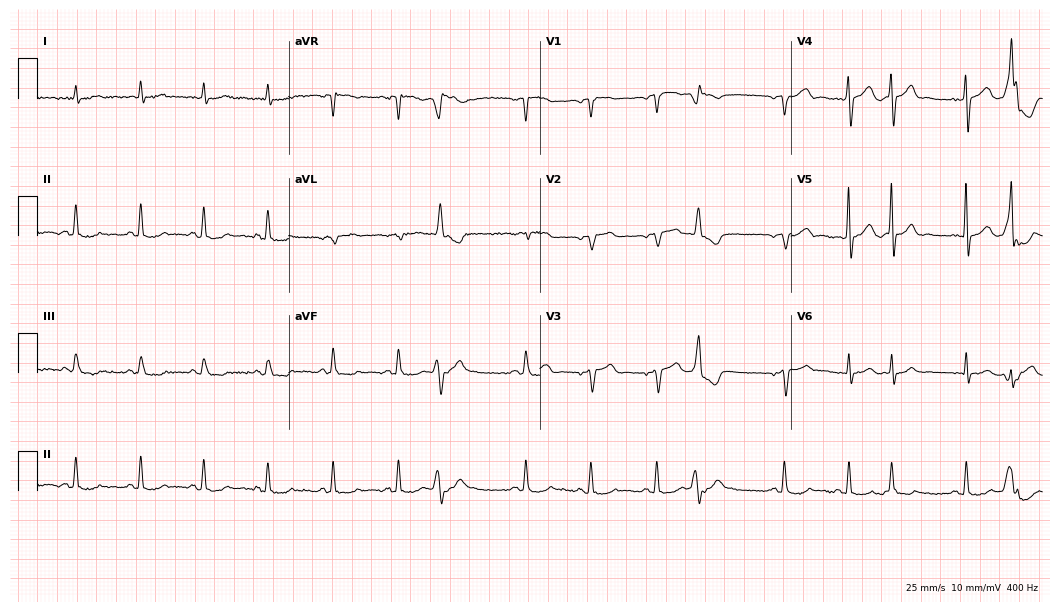
12-lead ECG from a male patient, 72 years old. No first-degree AV block, right bundle branch block (RBBB), left bundle branch block (LBBB), sinus bradycardia, atrial fibrillation (AF) or sinus tachycardia recorded for this tracing. Findings outside these six are not listed.